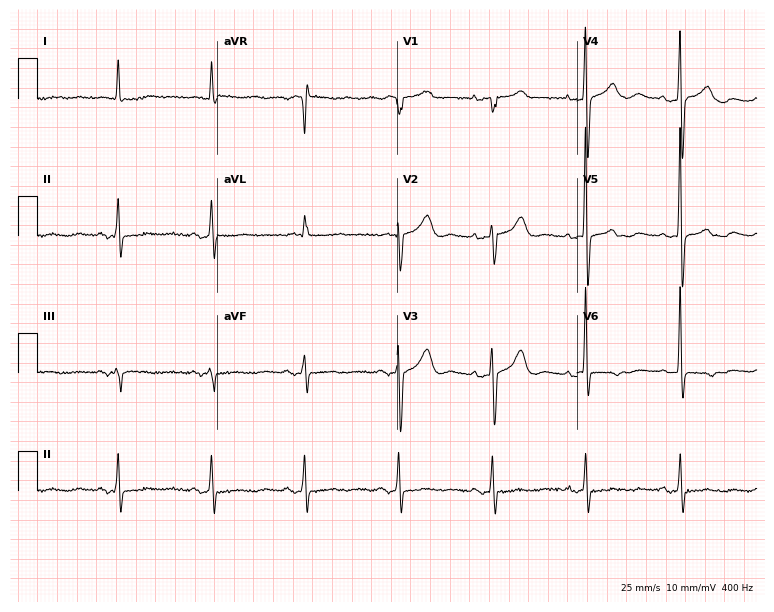
12-lead ECG (7.3-second recording at 400 Hz) from a 69-year-old female. Labelled as a normal ECG.